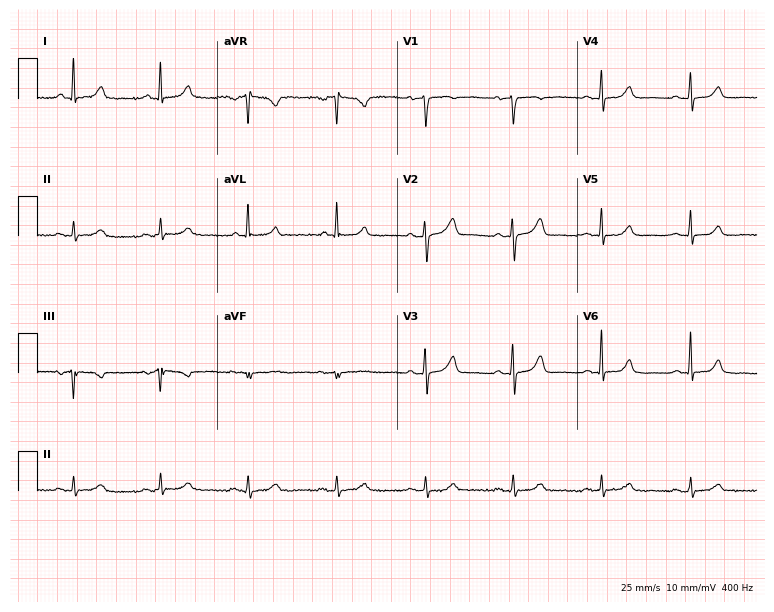
ECG — a female, 67 years old. Screened for six findings — first-degree AV block, right bundle branch block, left bundle branch block, sinus bradycardia, atrial fibrillation, sinus tachycardia — none is recorded. Findings outside these six are not listed.